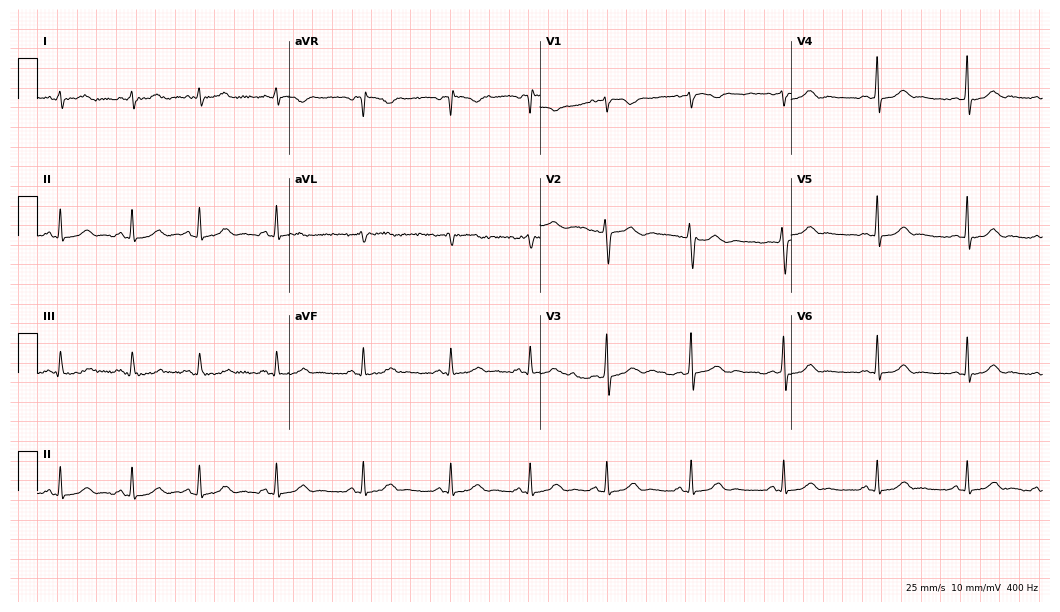
Standard 12-lead ECG recorded from a 26-year-old female. Read as a normal ECG.